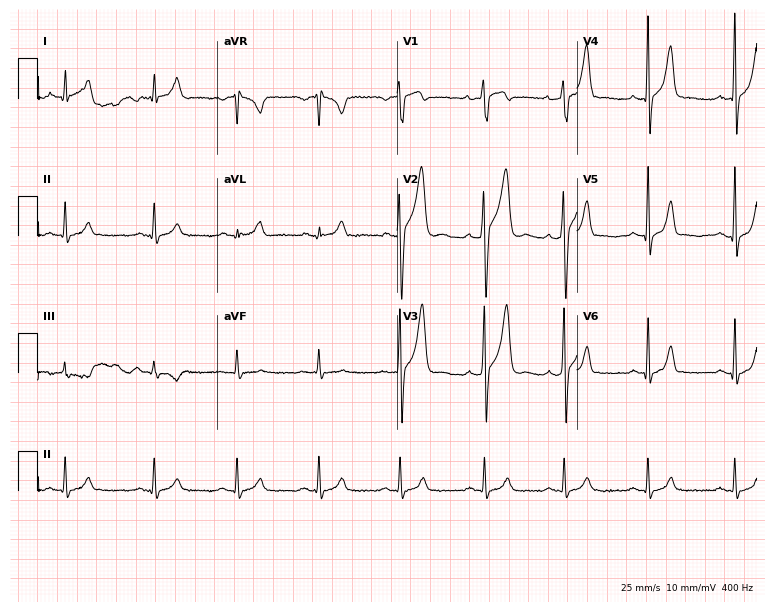
Electrocardiogram, a male, 24 years old. Overall reading on record: normal ECG.